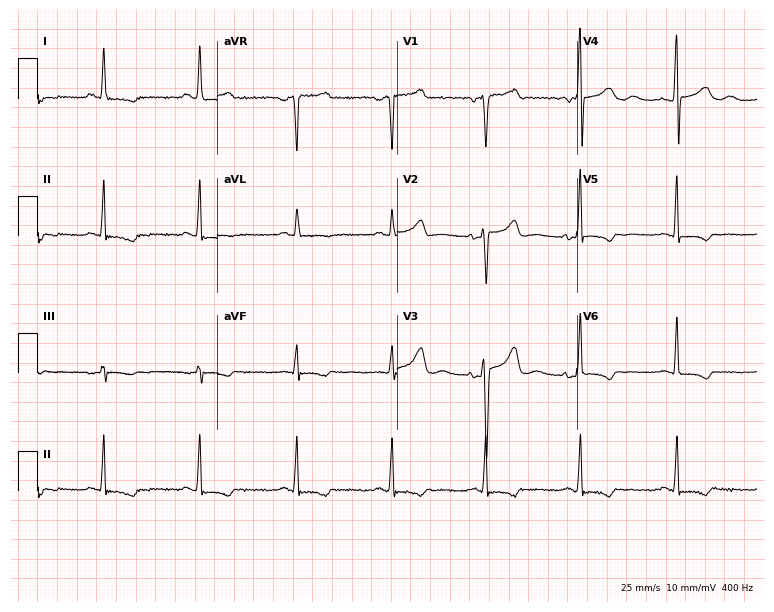
ECG — a 43-year-old female. Screened for six findings — first-degree AV block, right bundle branch block (RBBB), left bundle branch block (LBBB), sinus bradycardia, atrial fibrillation (AF), sinus tachycardia — none is recorded. Findings outside these six are not listed.